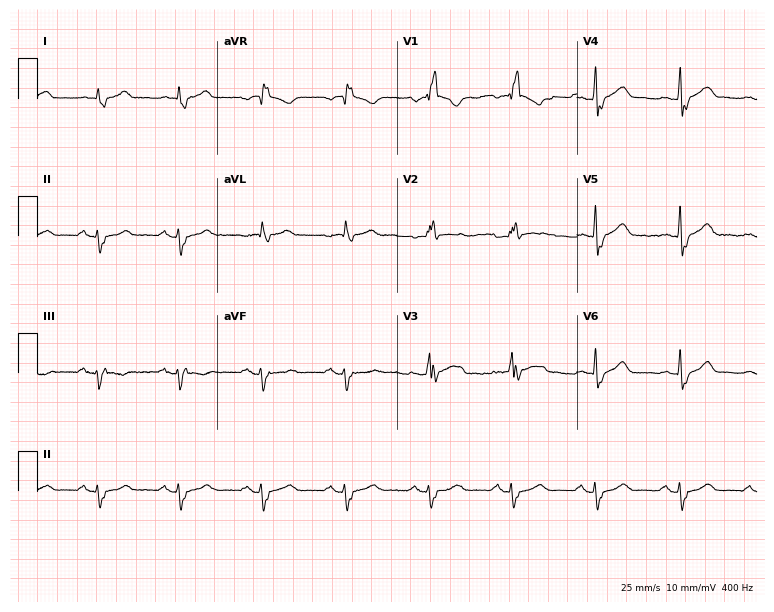
Electrocardiogram (7.3-second recording at 400 Hz), a male patient, 80 years old. Interpretation includes right bundle branch block (RBBB).